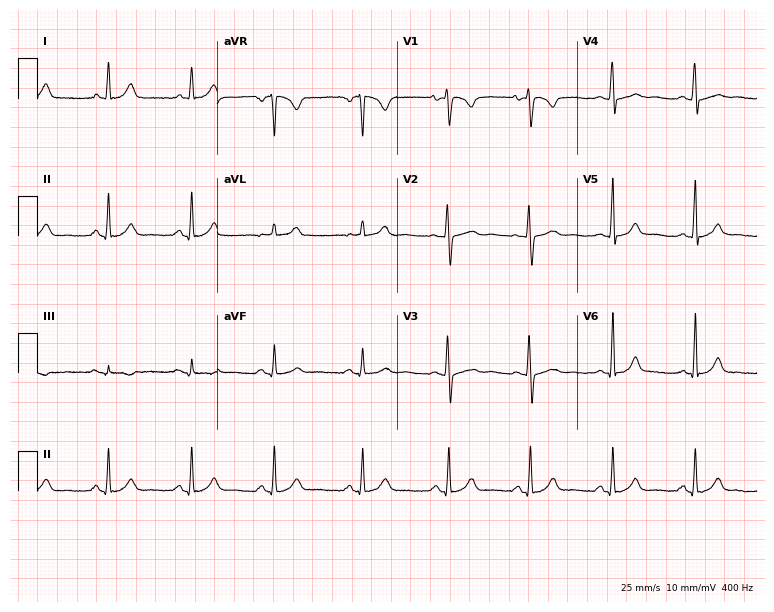
12-lead ECG (7.3-second recording at 400 Hz) from a 22-year-old female patient. Labelled as a normal ECG.